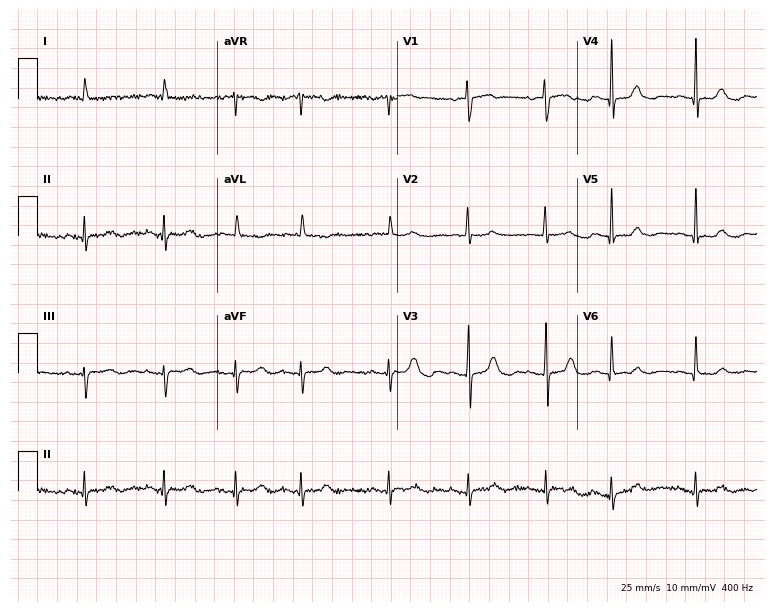
ECG (7.3-second recording at 400 Hz) — a female patient, 81 years old. Screened for six findings — first-degree AV block, right bundle branch block (RBBB), left bundle branch block (LBBB), sinus bradycardia, atrial fibrillation (AF), sinus tachycardia — none is recorded.